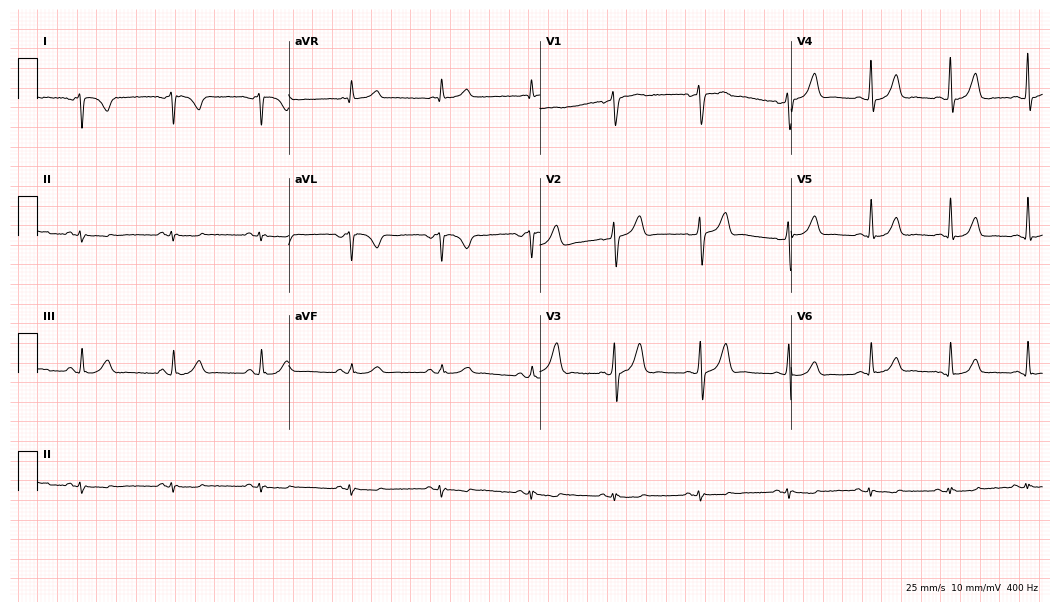
12-lead ECG (10.2-second recording at 400 Hz) from a man, 48 years old. Screened for six findings — first-degree AV block, right bundle branch block, left bundle branch block, sinus bradycardia, atrial fibrillation, sinus tachycardia — none is recorded. Other findings, if any, are not listed.